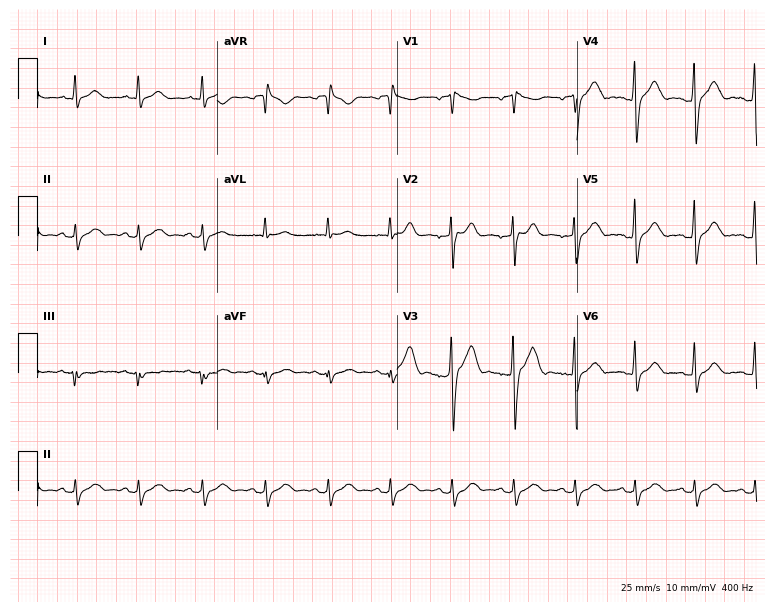
12-lead ECG from a man, 52 years old. No first-degree AV block, right bundle branch block, left bundle branch block, sinus bradycardia, atrial fibrillation or sinus tachycardia recorded for this tracing.